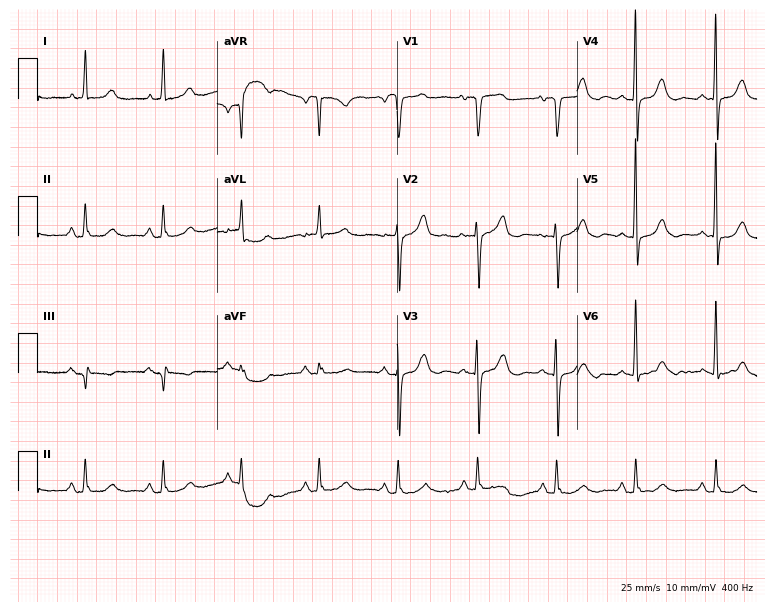
Resting 12-lead electrocardiogram. Patient: a 76-year-old female. Read as a normal ECG.